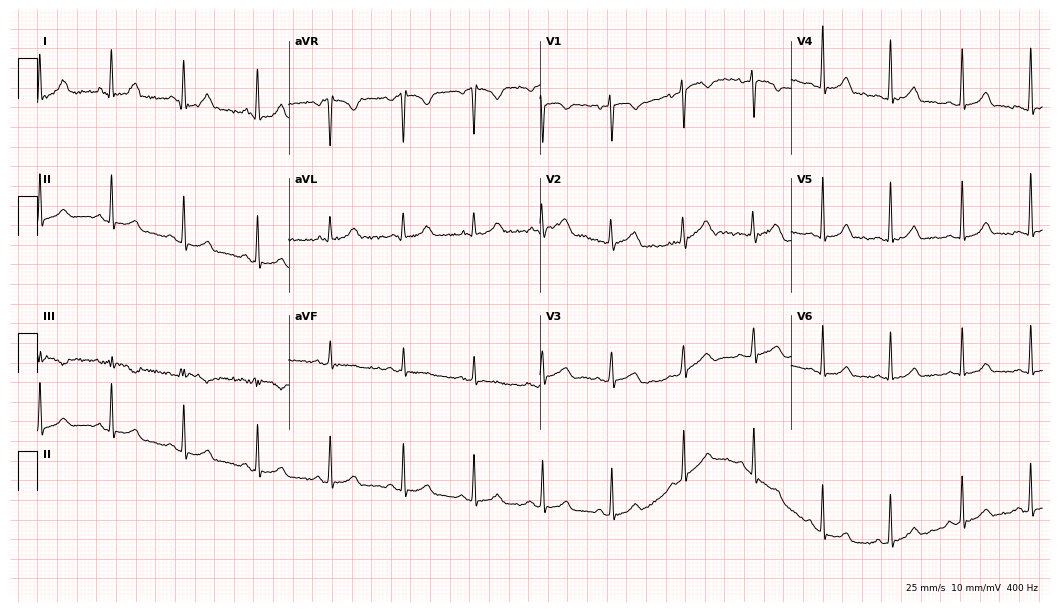
Resting 12-lead electrocardiogram (10.2-second recording at 400 Hz). Patient: a 23-year-old woman. Read as a normal ECG.